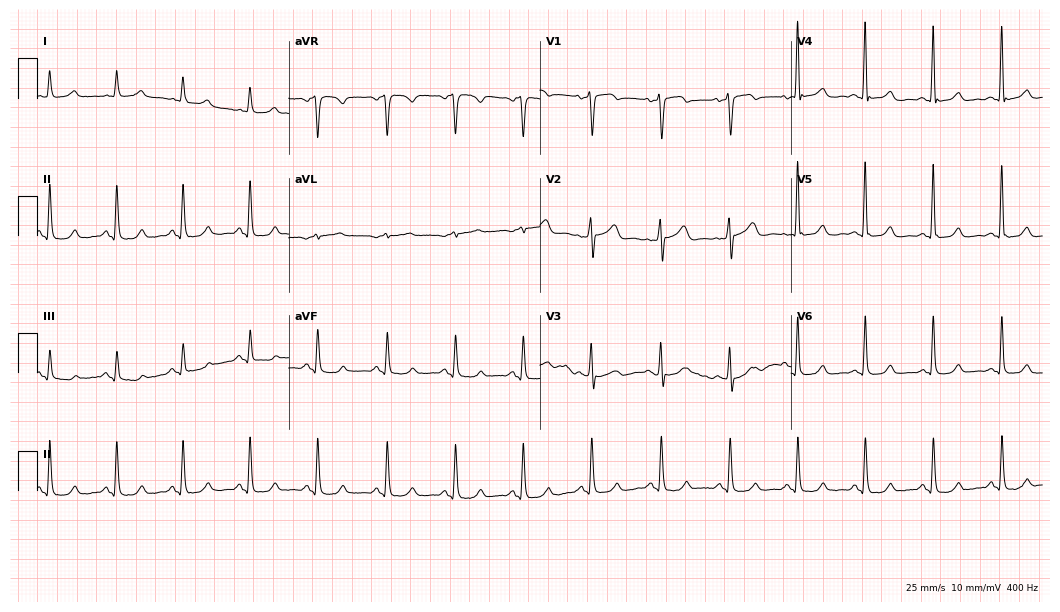
Resting 12-lead electrocardiogram (10.2-second recording at 400 Hz). Patient: a woman, 63 years old. Read as a normal ECG.